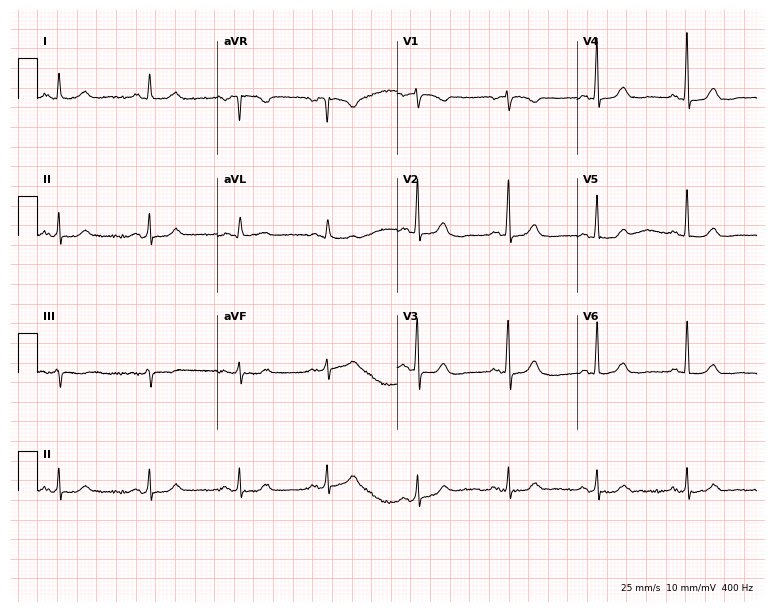
ECG (7.3-second recording at 400 Hz) — a female patient, 75 years old. Labelled as a normal ECG.